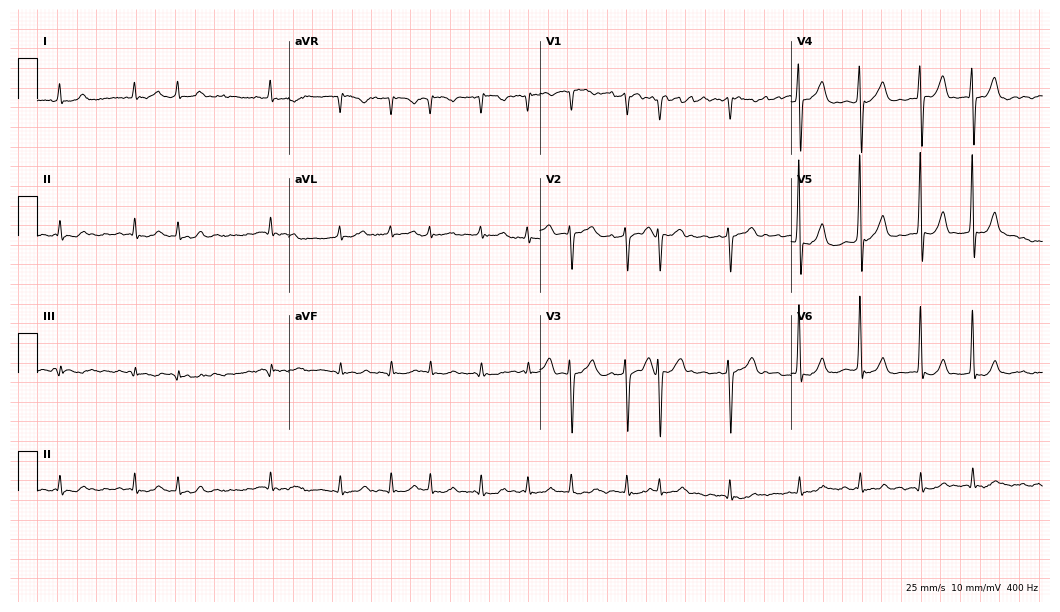
12-lead ECG from an 82-year-old male. Findings include atrial fibrillation, sinus tachycardia (a sinus rate of 100 beats per minute or more).